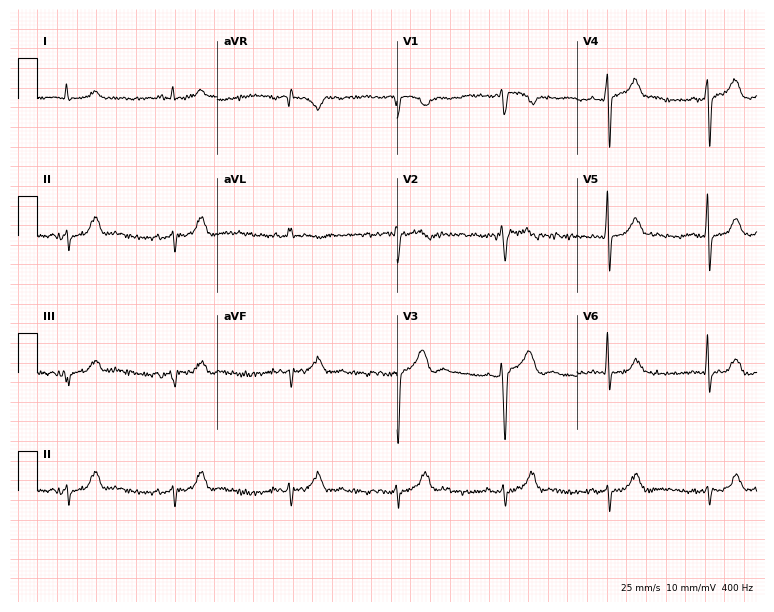
Resting 12-lead electrocardiogram. Patient: a 67-year-old male. None of these six findings is recorded: first-degree AV block, right bundle branch block (RBBB), left bundle branch block (LBBB), sinus bradycardia, atrial fibrillation (AF), sinus tachycardia.